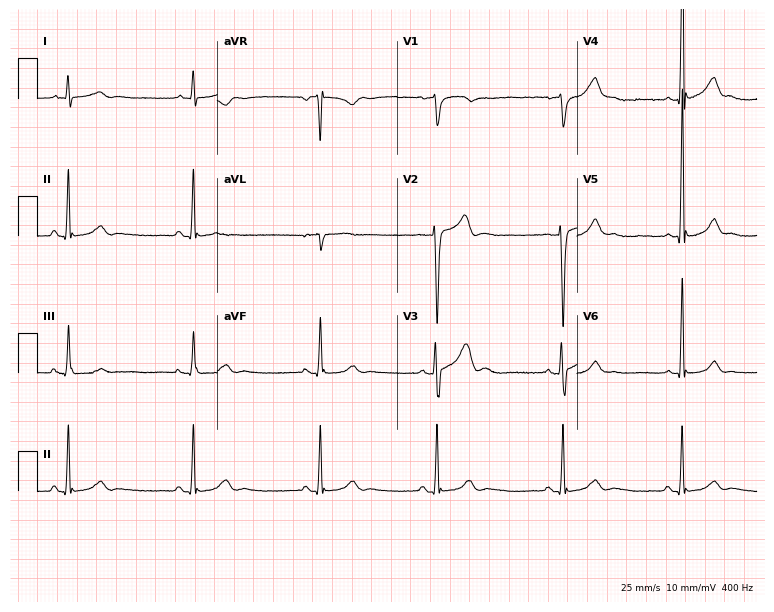
Resting 12-lead electrocardiogram (7.3-second recording at 400 Hz). Patient: a 27-year-old man. Read as a normal ECG.